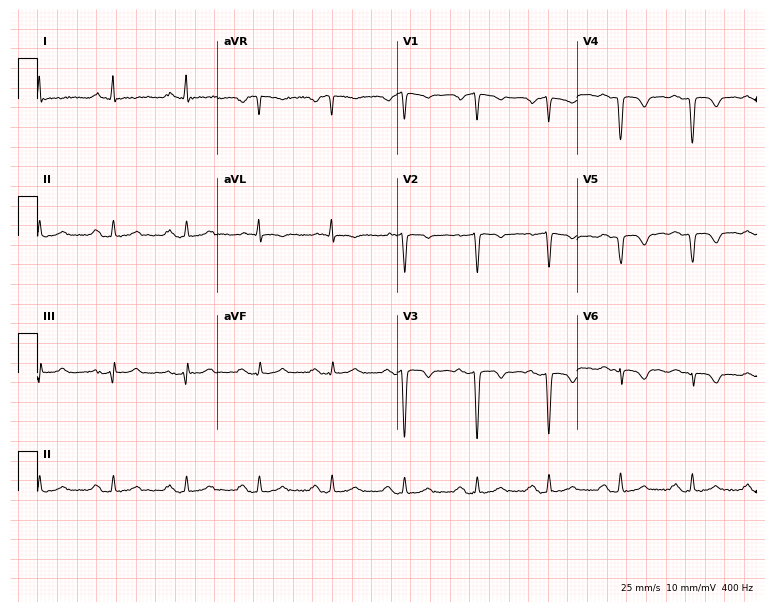
12-lead ECG from a 63-year-old male. No first-degree AV block, right bundle branch block (RBBB), left bundle branch block (LBBB), sinus bradycardia, atrial fibrillation (AF) or sinus tachycardia recorded for this tracing. Other findings, if any, are not listed.